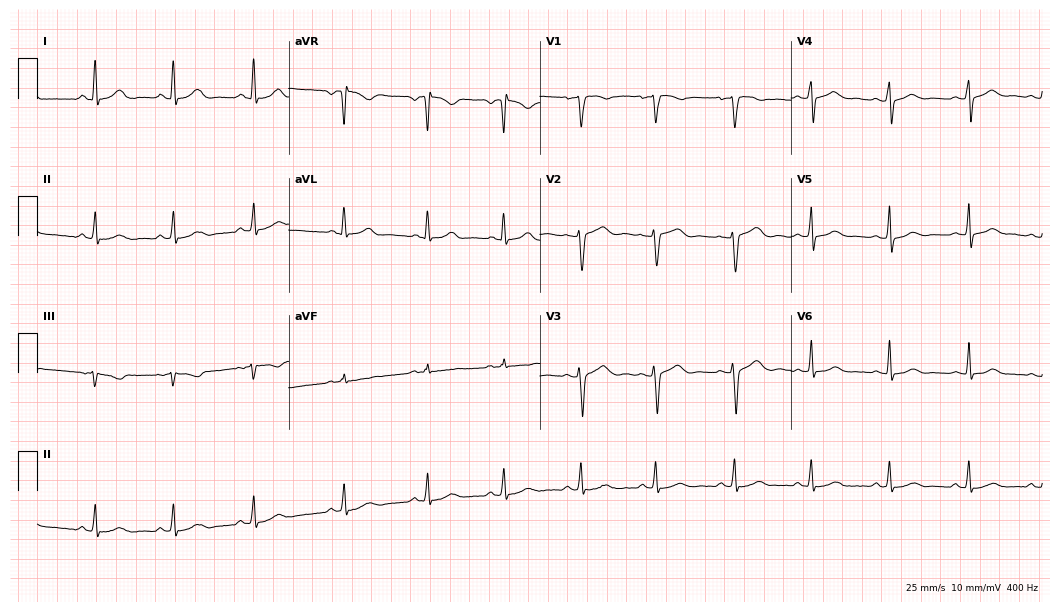
12-lead ECG (10.2-second recording at 400 Hz) from a female patient, 21 years old. Labelled as a normal ECG.